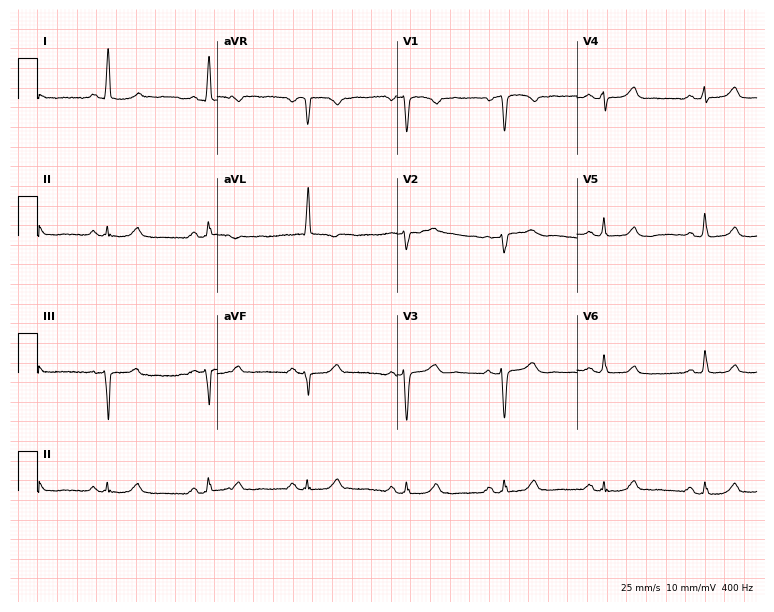
12-lead ECG from a 60-year-old female (7.3-second recording at 400 Hz). Recorded interpretation: within normal limits.